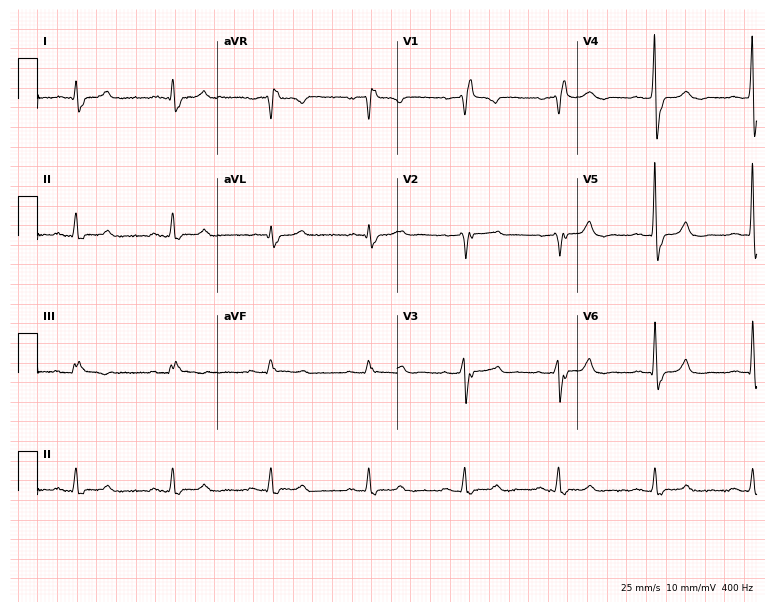
12-lead ECG from a 71-year-old male patient. Shows right bundle branch block.